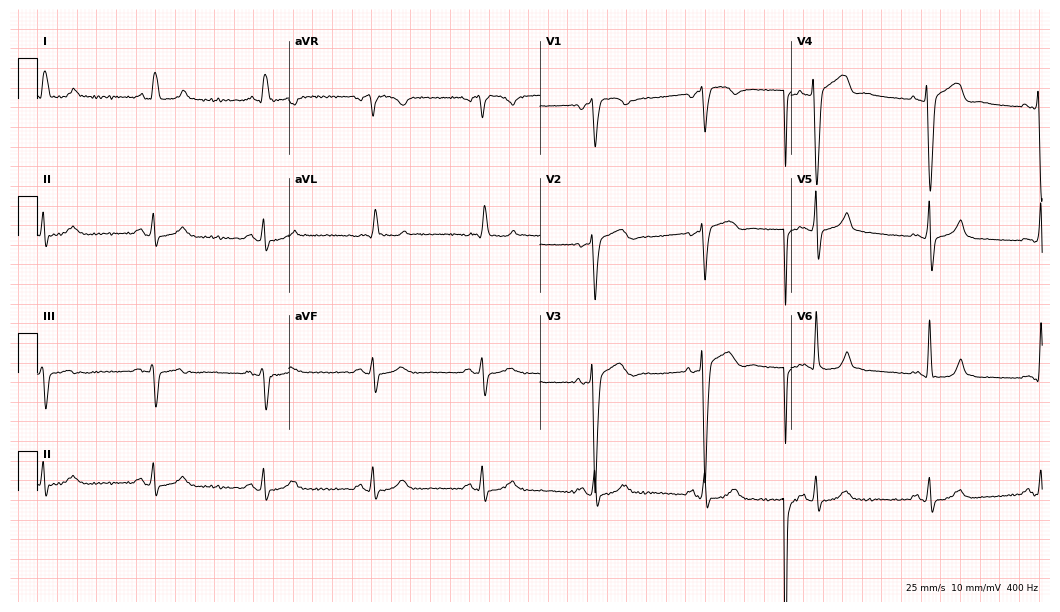
ECG — a man, 73 years old. Screened for six findings — first-degree AV block, right bundle branch block, left bundle branch block, sinus bradycardia, atrial fibrillation, sinus tachycardia — none is recorded. Findings outside these six are not listed.